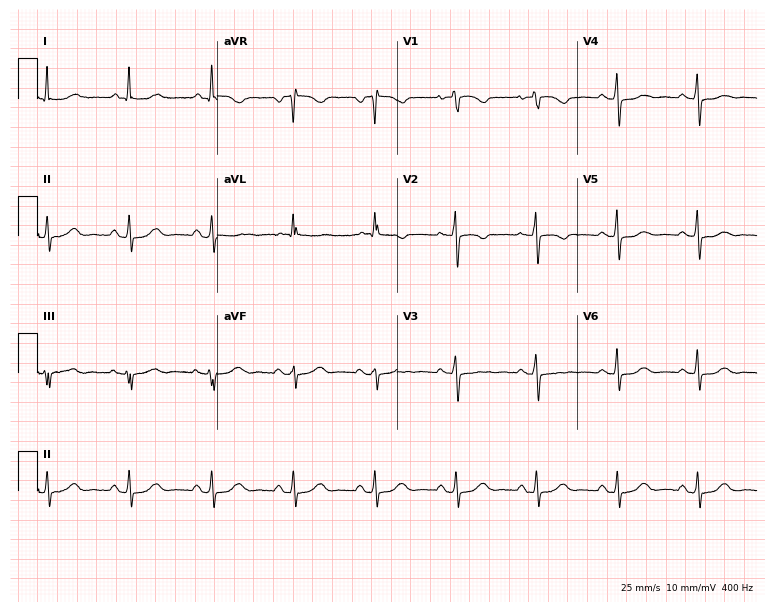
12-lead ECG from a female patient, 65 years old. Labelled as a normal ECG.